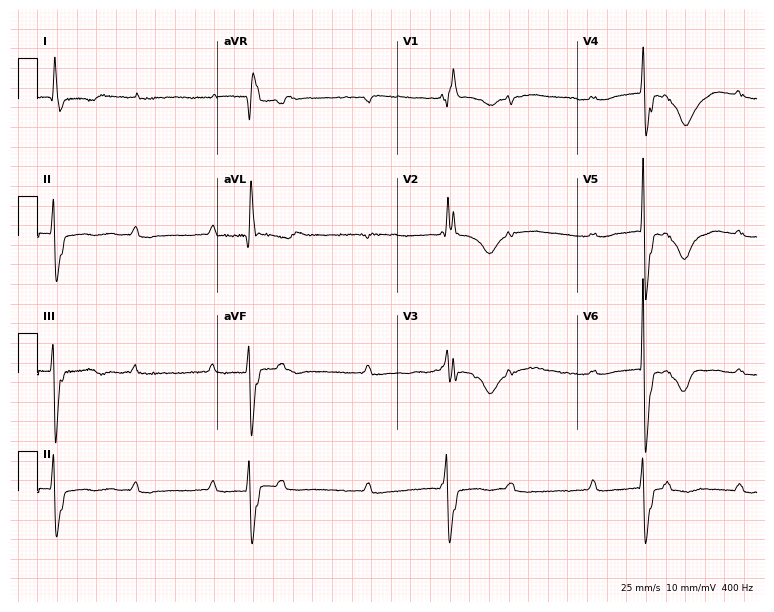
Resting 12-lead electrocardiogram. Patient: a woman, 50 years old. The tracing shows first-degree AV block.